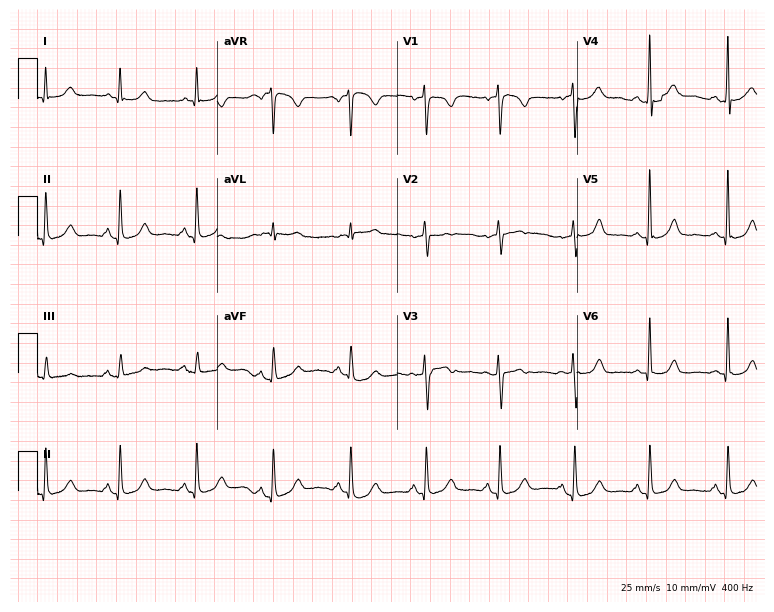
12-lead ECG (7.3-second recording at 400 Hz) from a woman, 56 years old. Labelled as a normal ECG.